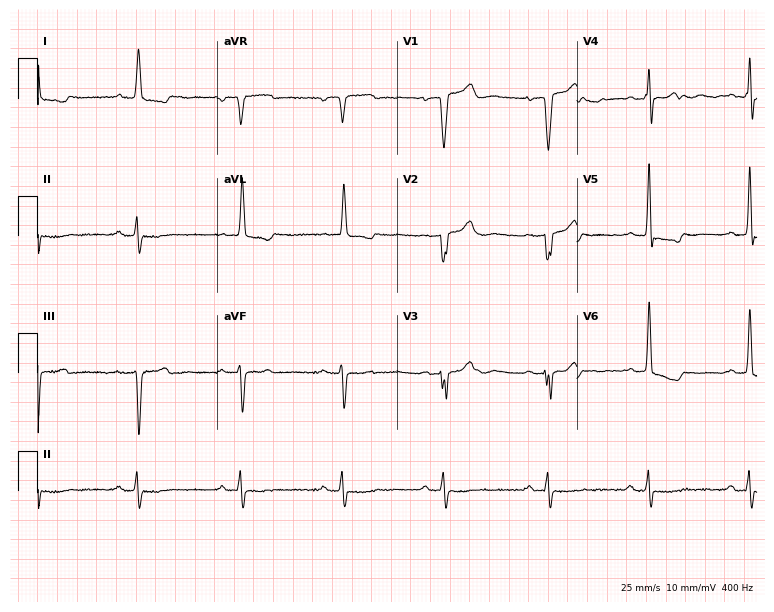
Electrocardiogram, a man, 80 years old. Of the six screened findings (first-degree AV block, right bundle branch block (RBBB), left bundle branch block (LBBB), sinus bradycardia, atrial fibrillation (AF), sinus tachycardia), none is recorded.